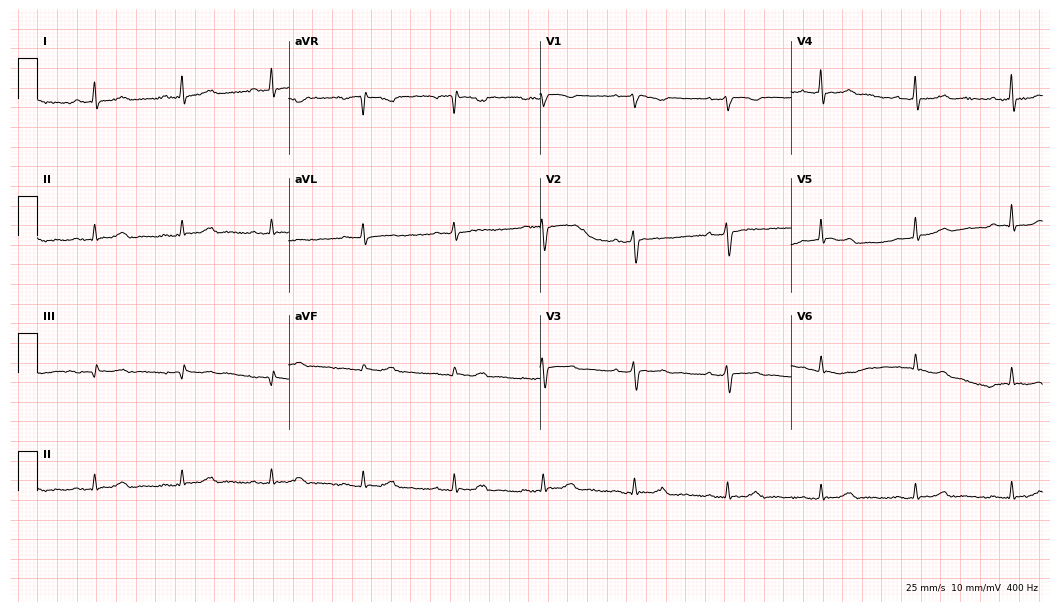
12-lead ECG from a 54-year-old female. Recorded interpretation: within normal limits.